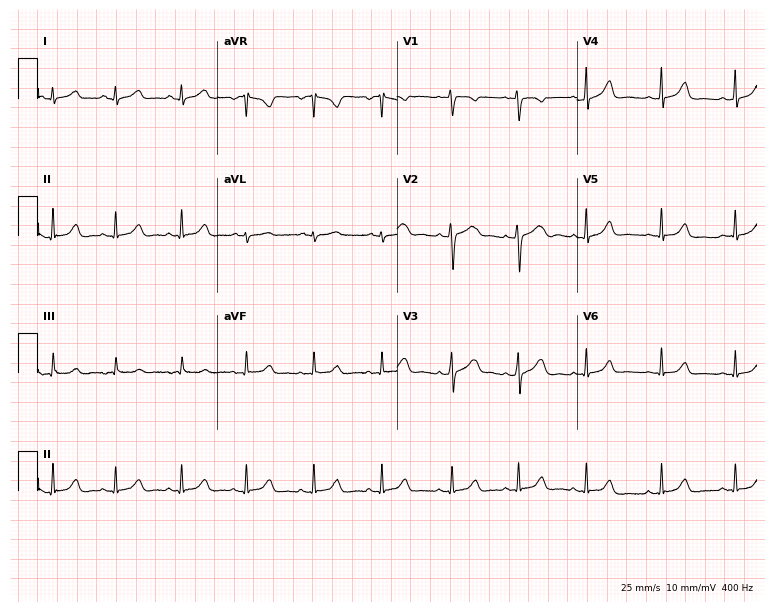
Electrocardiogram (7.3-second recording at 400 Hz), a female patient, 32 years old. Overall reading on record: normal ECG.